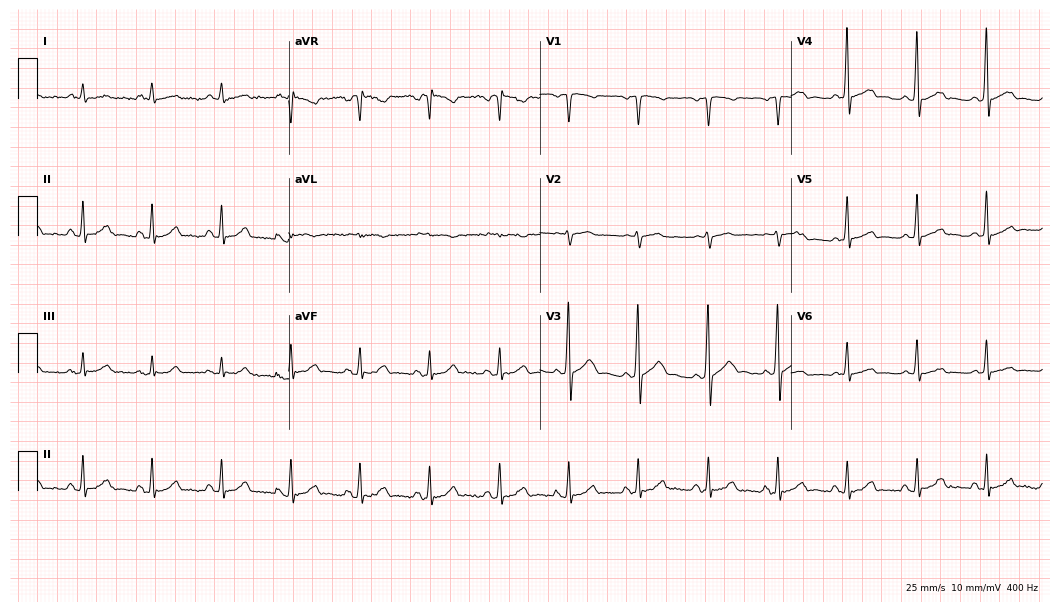
12-lead ECG from a 49-year-old male (10.2-second recording at 400 Hz). Recorded interpretation: within normal limits.